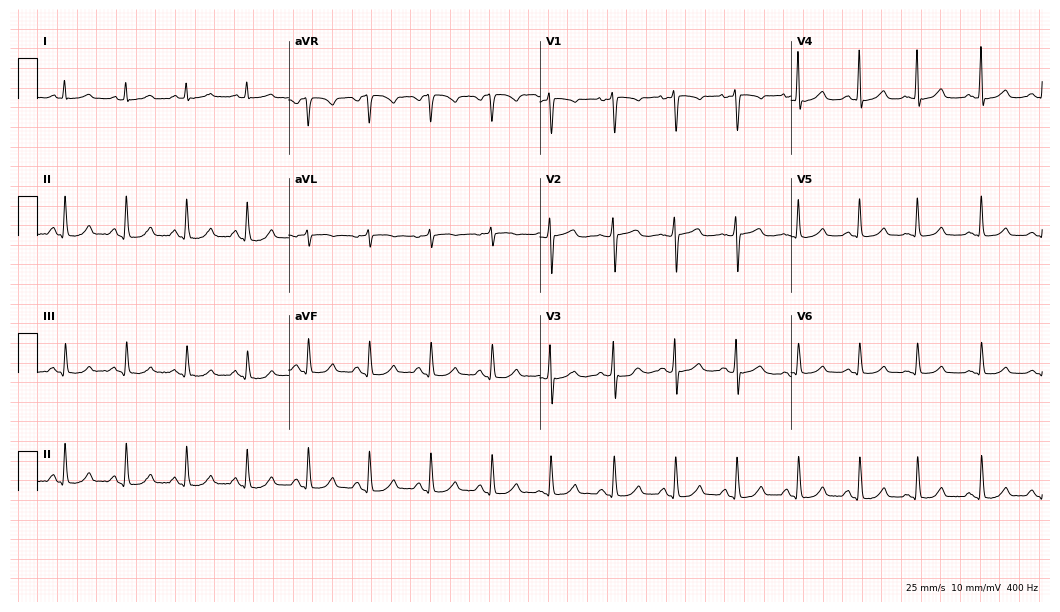
Electrocardiogram (10.2-second recording at 400 Hz), a female, 78 years old. Overall reading on record: normal ECG.